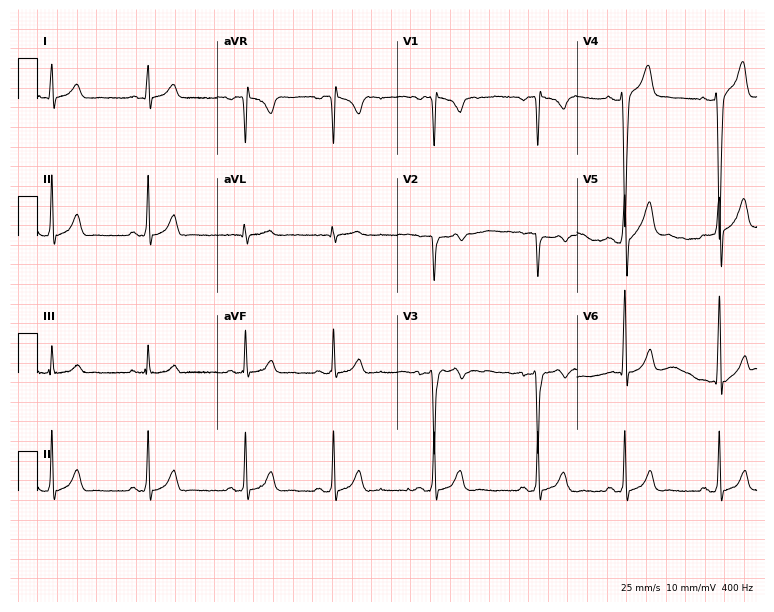
Electrocardiogram (7.3-second recording at 400 Hz), a 24-year-old male. Of the six screened findings (first-degree AV block, right bundle branch block, left bundle branch block, sinus bradycardia, atrial fibrillation, sinus tachycardia), none is recorded. Only these six findings were labelled.